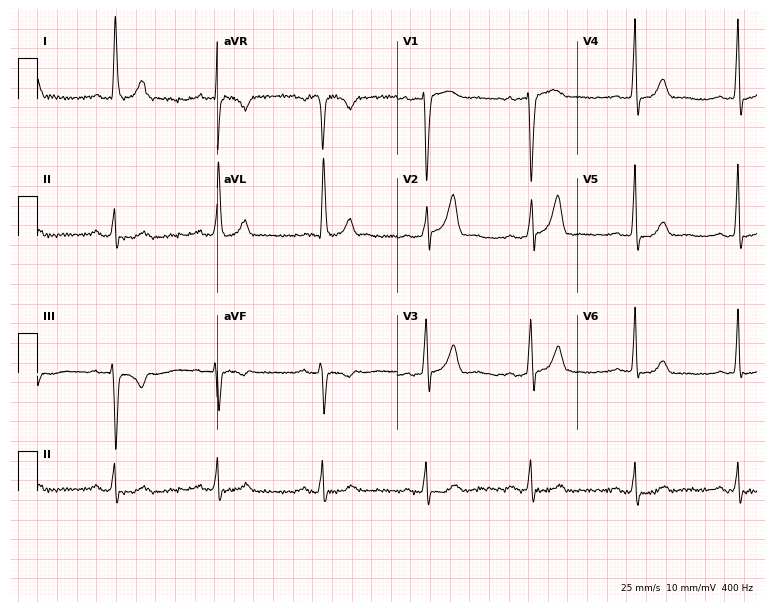
12-lead ECG (7.3-second recording at 400 Hz) from a male patient, 48 years old. Labelled as a normal ECG.